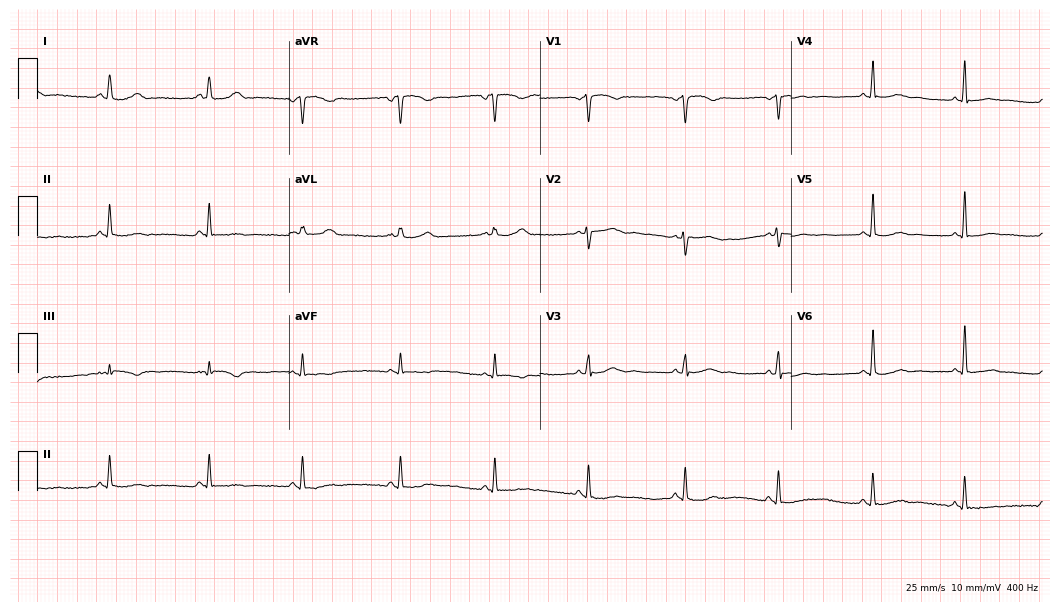
ECG (10.2-second recording at 400 Hz) — a 36-year-old female. Labelled as a normal ECG.